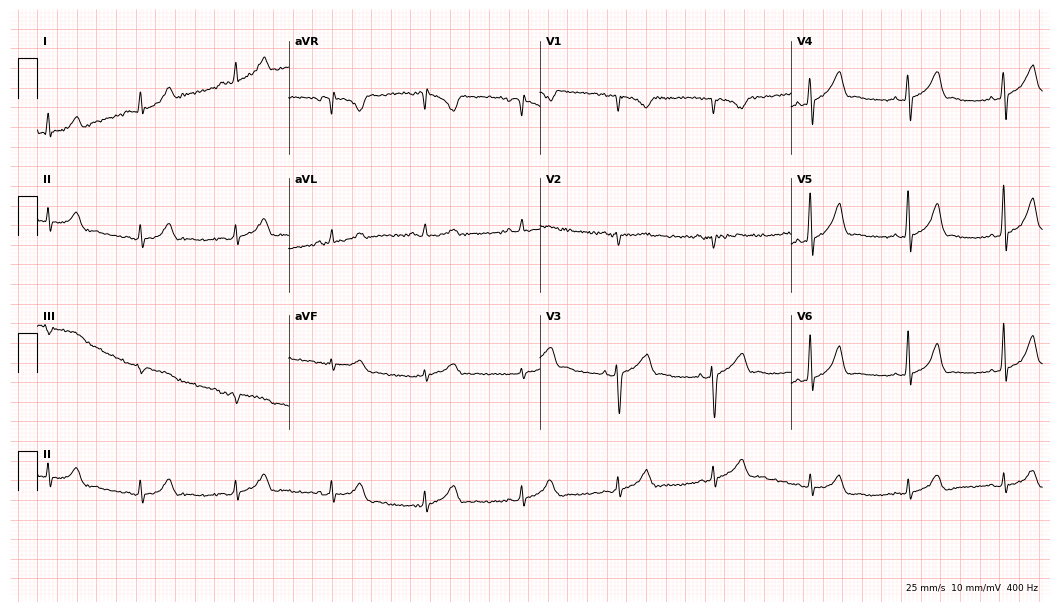
ECG — a man, 42 years old. Screened for six findings — first-degree AV block, right bundle branch block, left bundle branch block, sinus bradycardia, atrial fibrillation, sinus tachycardia — none is recorded.